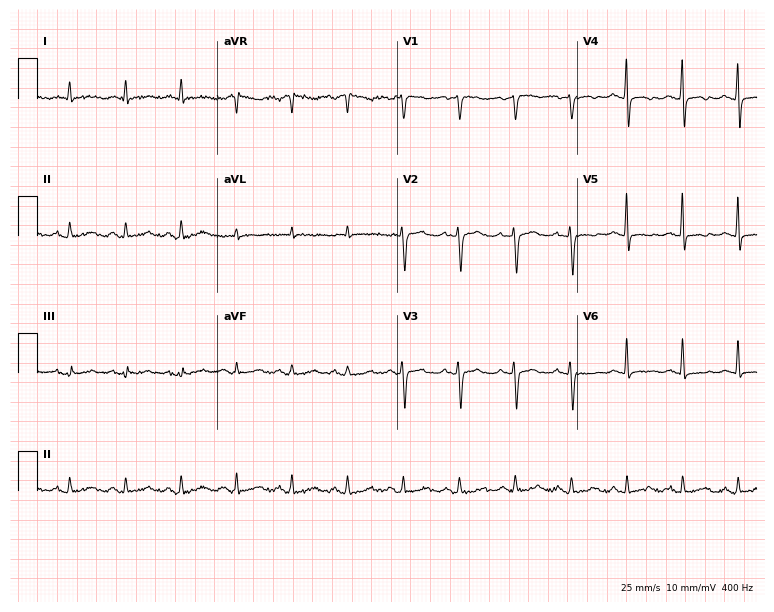
Resting 12-lead electrocardiogram. Patient: a female, 53 years old. The tracing shows sinus tachycardia (a sinus rate of 100 beats per minute or more).